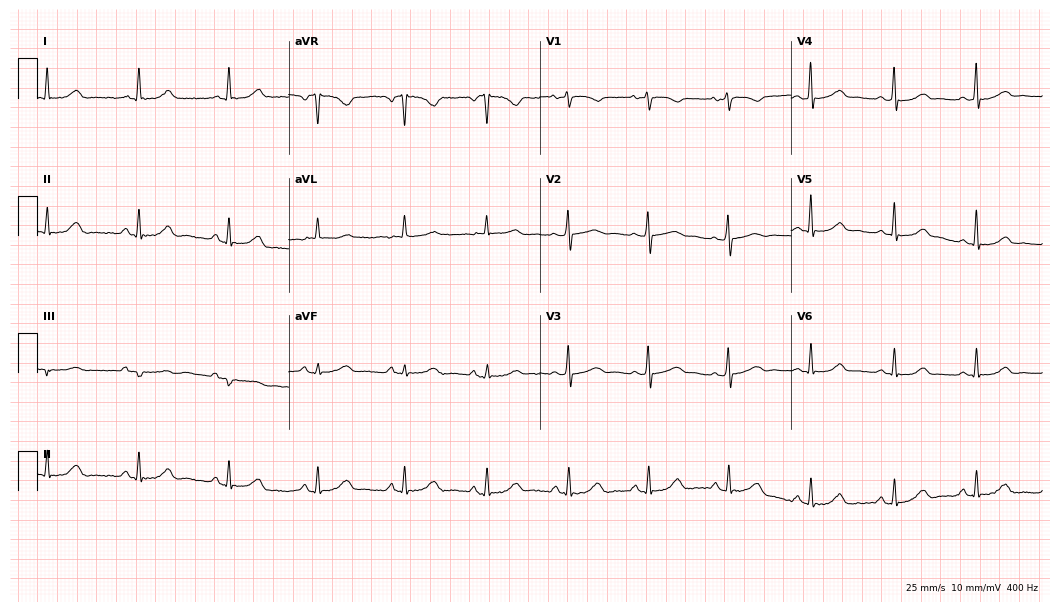
12-lead ECG (10.2-second recording at 400 Hz) from a woman, 62 years old. Screened for six findings — first-degree AV block, right bundle branch block, left bundle branch block, sinus bradycardia, atrial fibrillation, sinus tachycardia — none is recorded. Findings outside these six are not listed.